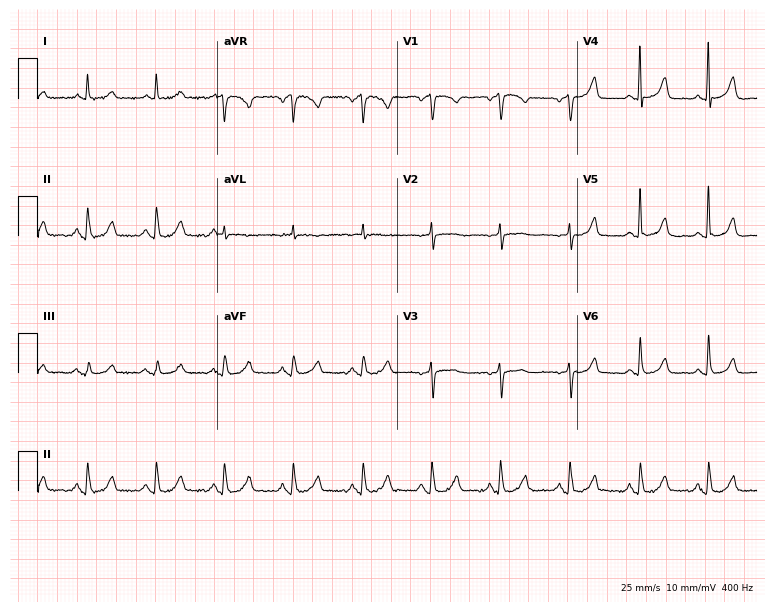
Standard 12-lead ECG recorded from an 81-year-old female patient (7.3-second recording at 400 Hz). Read as a normal ECG.